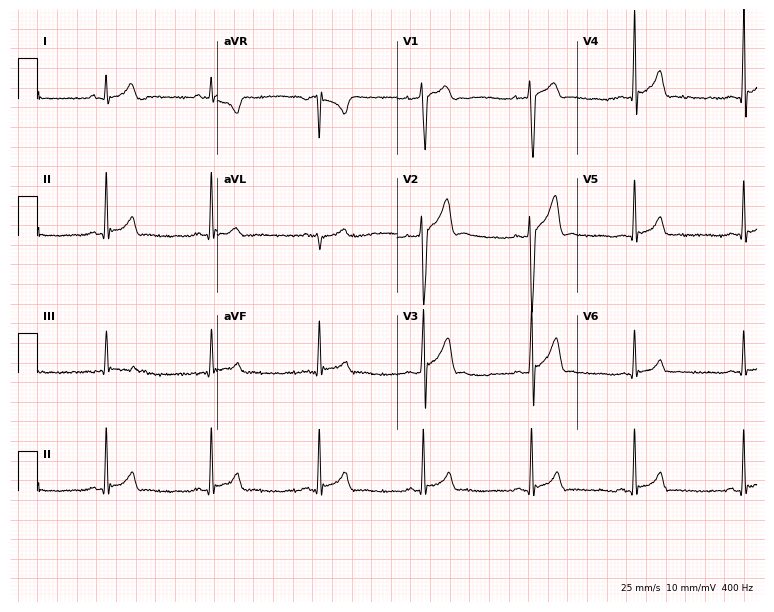
12-lead ECG from a 19-year-old male. Recorded interpretation: within normal limits.